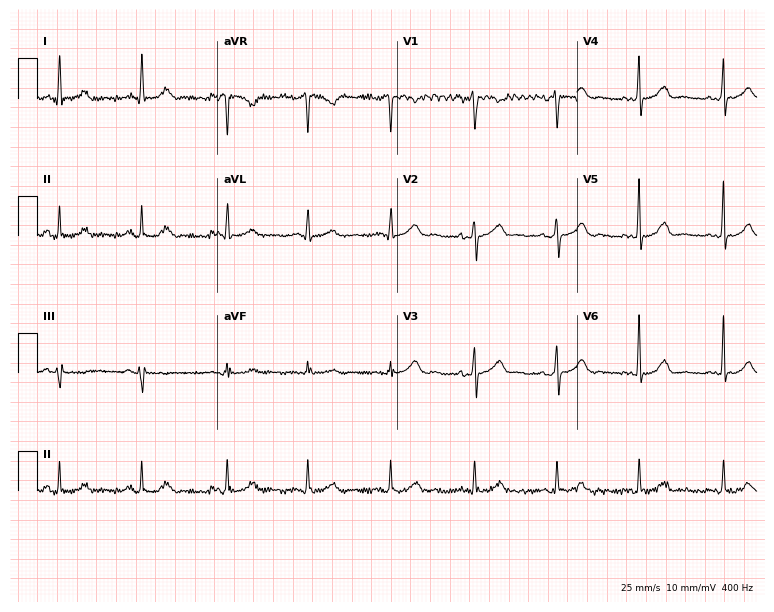
Resting 12-lead electrocardiogram. Patient: a female, 38 years old. Read as a normal ECG.